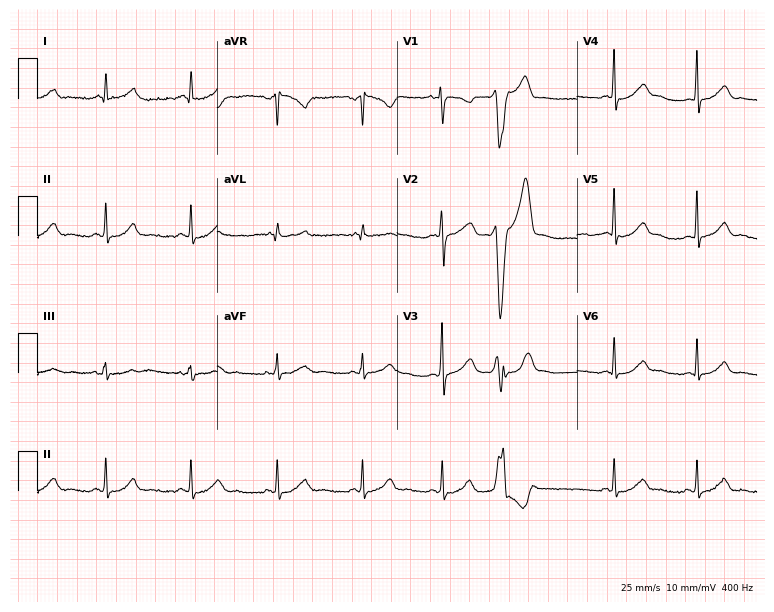
12-lead ECG (7.3-second recording at 400 Hz) from a 31-year-old female. Labelled as a normal ECG.